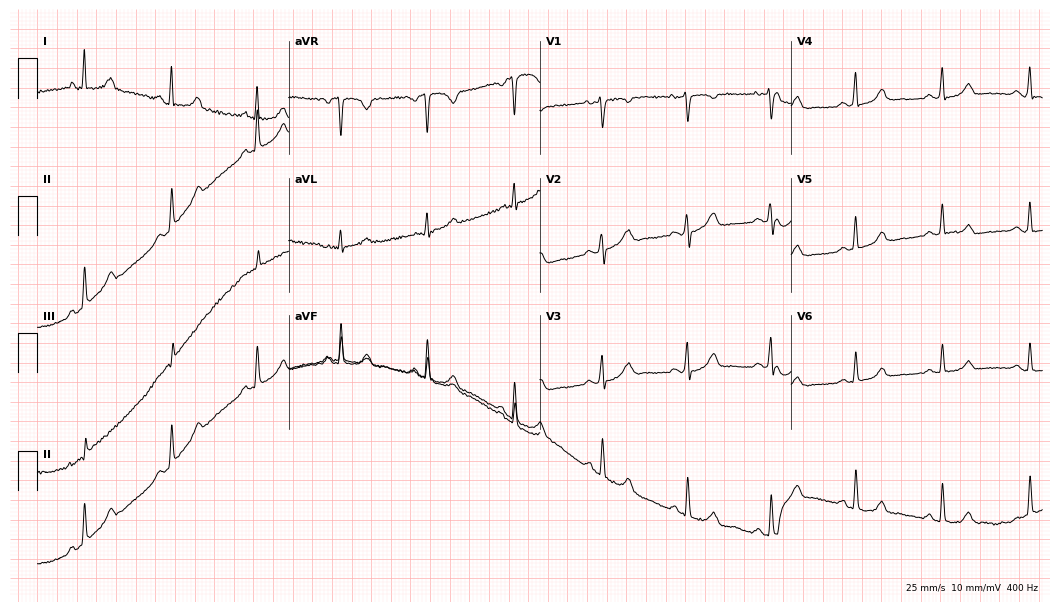
Standard 12-lead ECG recorded from a 34-year-old female. Read as a normal ECG.